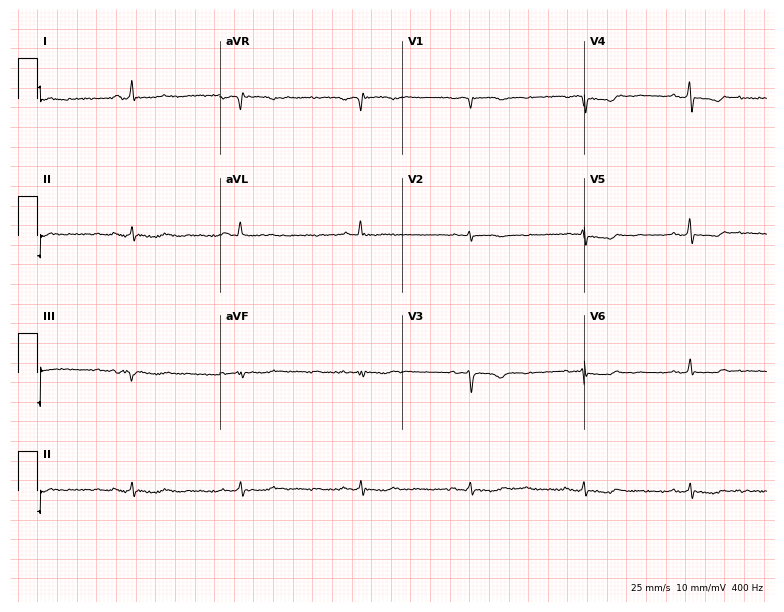
Resting 12-lead electrocardiogram. Patient: a female, 62 years old. None of these six findings is recorded: first-degree AV block, right bundle branch block, left bundle branch block, sinus bradycardia, atrial fibrillation, sinus tachycardia.